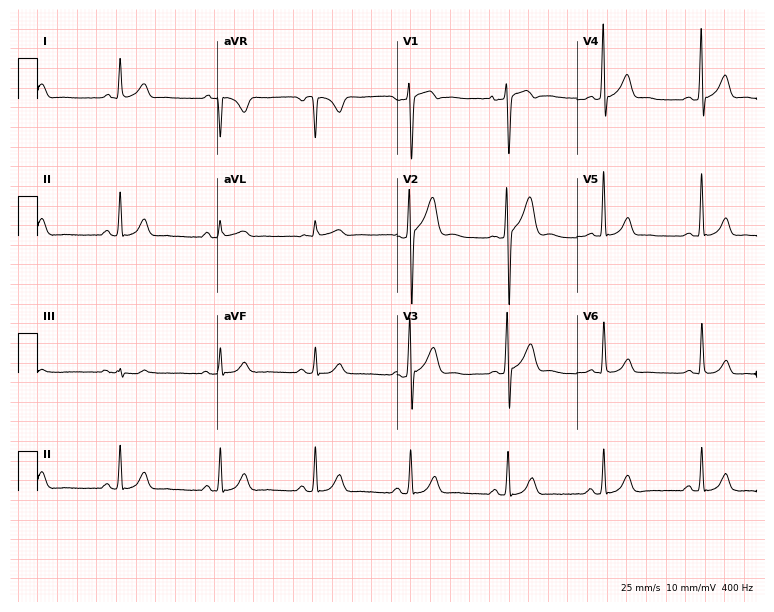
ECG (7.3-second recording at 400 Hz) — a 45-year-old man. Screened for six findings — first-degree AV block, right bundle branch block (RBBB), left bundle branch block (LBBB), sinus bradycardia, atrial fibrillation (AF), sinus tachycardia — none is recorded. Findings outside these six are not listed.